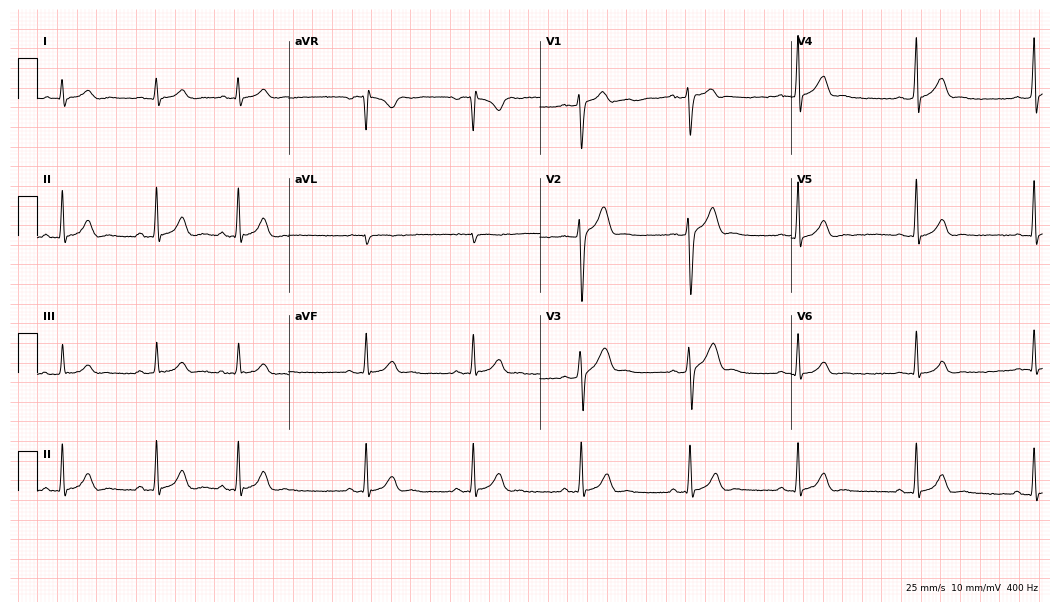
Resting 12-lead electrocardiogram (10.2-second recording at 400 Hz). Patient: a 28-year-old man. None of these six findings is recorded: first-degree AV block, right bundle branch block, left bundle branch block, sinus bradycardia, atrial fibrillation, sinus tachycardia. Other findings, if any, are not listed.